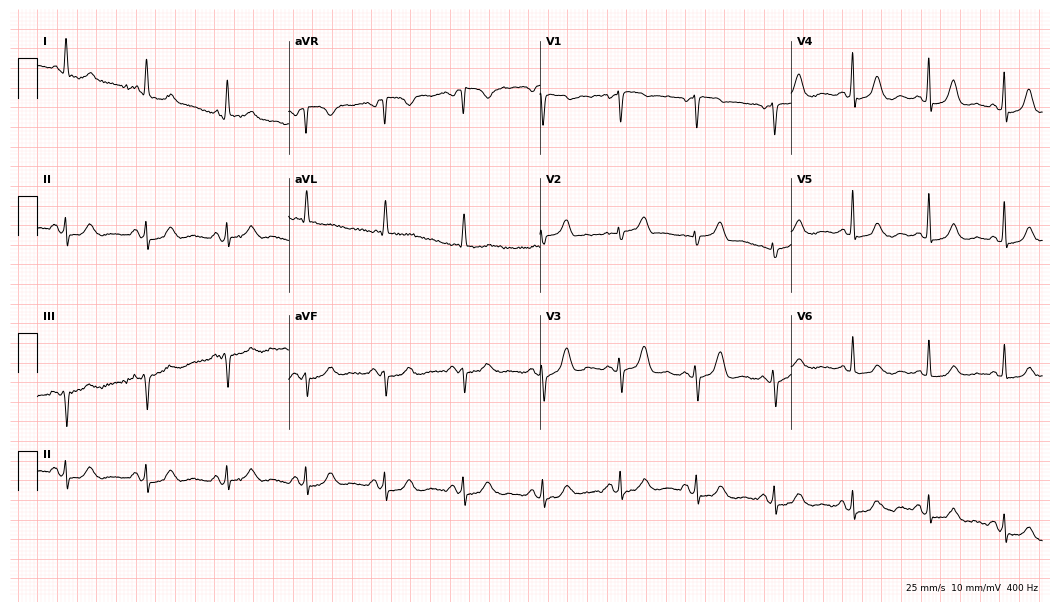
12-lead ECG from a 78-year-old female. Recorded interpretation: within normal limits.